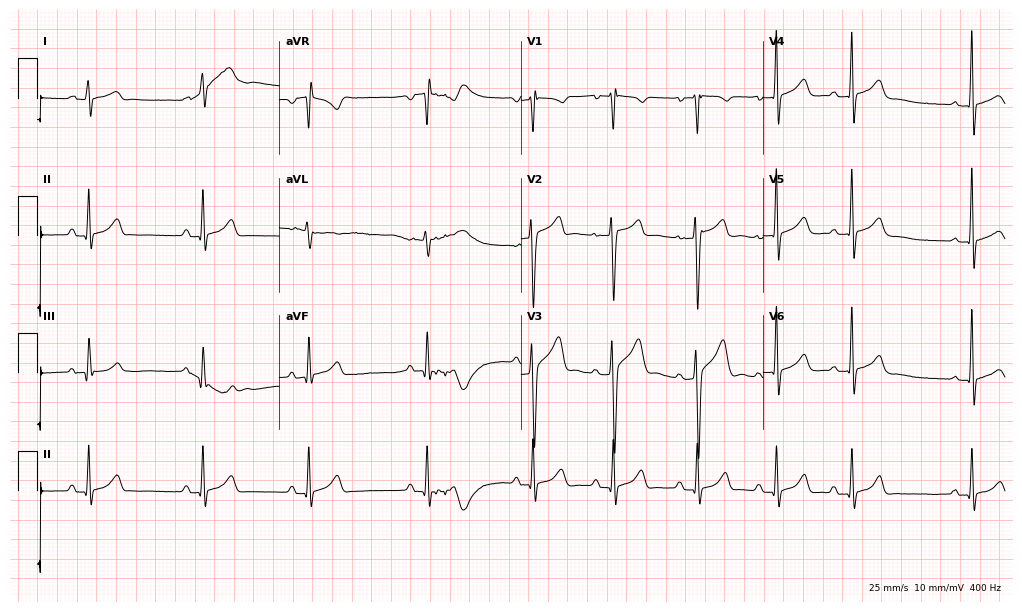
12-lead ECG from a male, 18 years old. Screened for six findings — first-degree AV block, right bundle branch block, left bundle branch block, sinus bradycardia, atrial fibrillation, sinus tachycardia — none is recorded. Only these six findings were labelled.